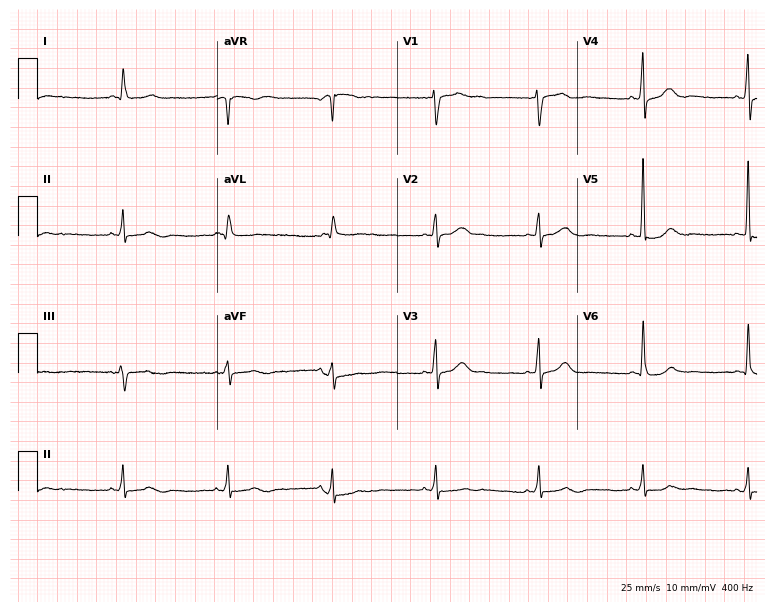
Resting 12-lead electrocardiogram. Patient: a man, 73 years old. None of these six findings is recorded: first-degree AV block, right bundle branch block, left bundle branch block, sinus bradycardia, atrial fibrillation, sinus tachycardia. Only these six findings were labelled.